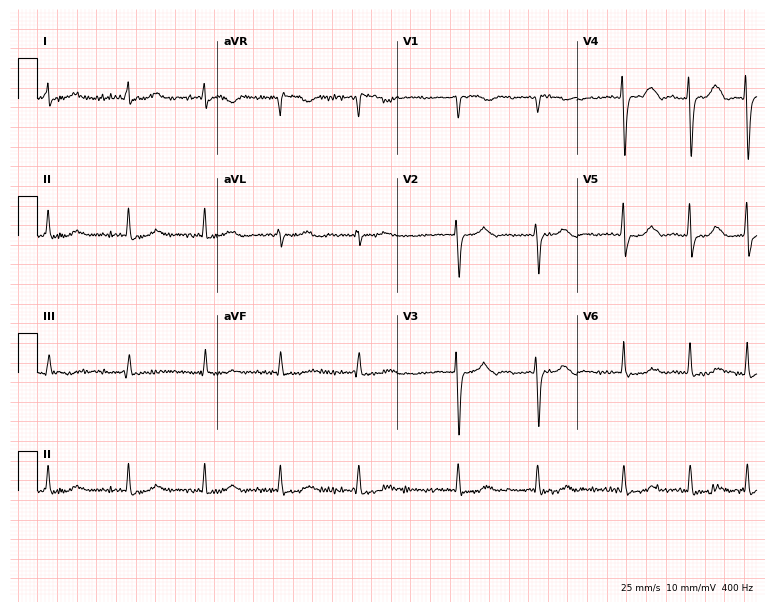
12-lead ECG (7.3-second recording at 400 Hz) from a female, 82 years old. Screened for six findings — first-degree AV block, right bundle branch block (RBBB), left bundle branch block (LBBB), sinus bradycardia, atrial fibrillation (AF), sinus tachycardia — none is recorded. Only these six findings were labelled.